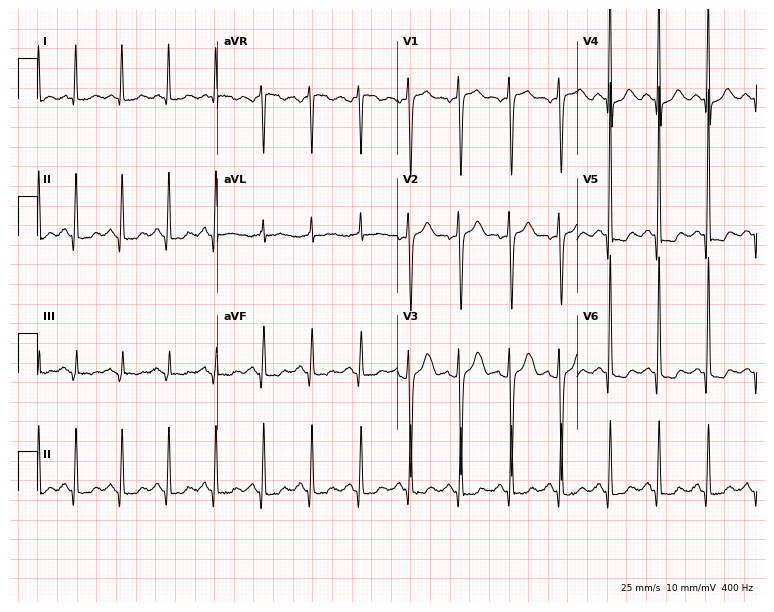
ECG (7.3-second recording at 400 Hz) — a 47-year-old female. Findings include sinus tachycardia (a sinus rate of 100 beats per minute or more).